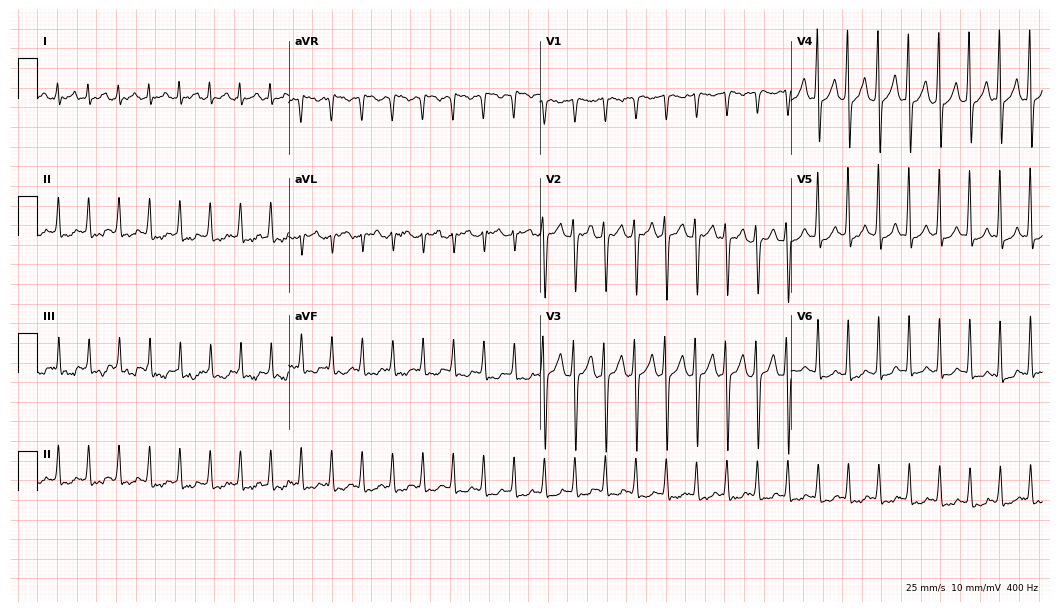
Electrocardiogram (10.2-second recording at 400 Hz), a male patient, 46 years old. Of the six screened findings (first-degree AV block, right bundle branch block, left bundle branch block, sinus bradycardia, atrial fibrillation, sinus tachycardia), none is recorded.